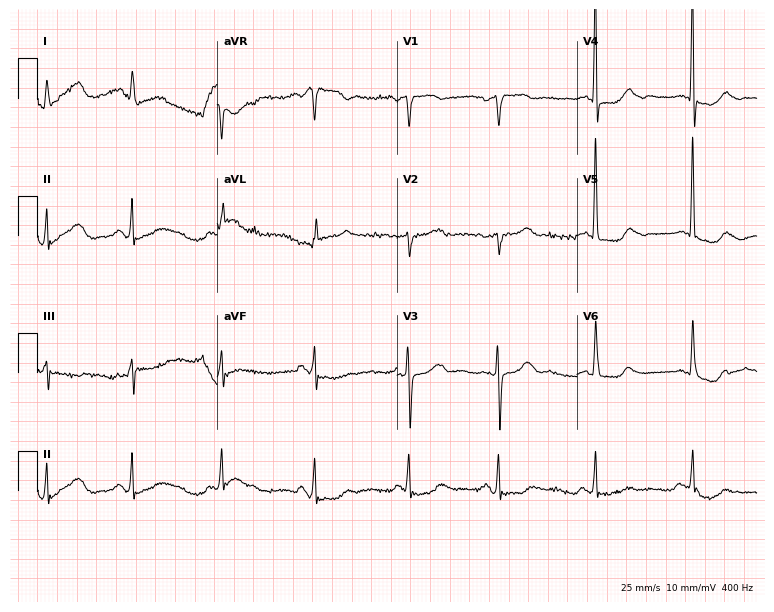
Resting 12-lead electrocardiogram (7.3-second recording at 400 Hz). Patient: a woman, 71 years old. None of these six findings is recorded: first-degree AV block, right bundle branch block (RBBB), left bundle branch block (LBBB), sinus bradycardia, atrial fibrillation (AF), sinus tachycardia.